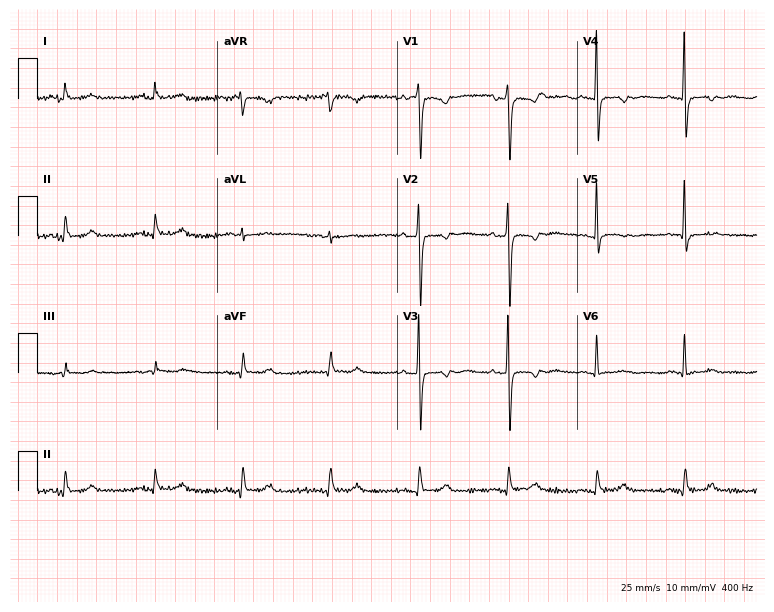
Standard 12-lead ECG recorded from an 85-year-old woman (7.3-second recording at 400 Hz). None of these six findings is recorded: first-degree AV block, right bundle branch block, left bundle branch block, sinus bradycardia, atrial fibrillation, sinus tachycardia.